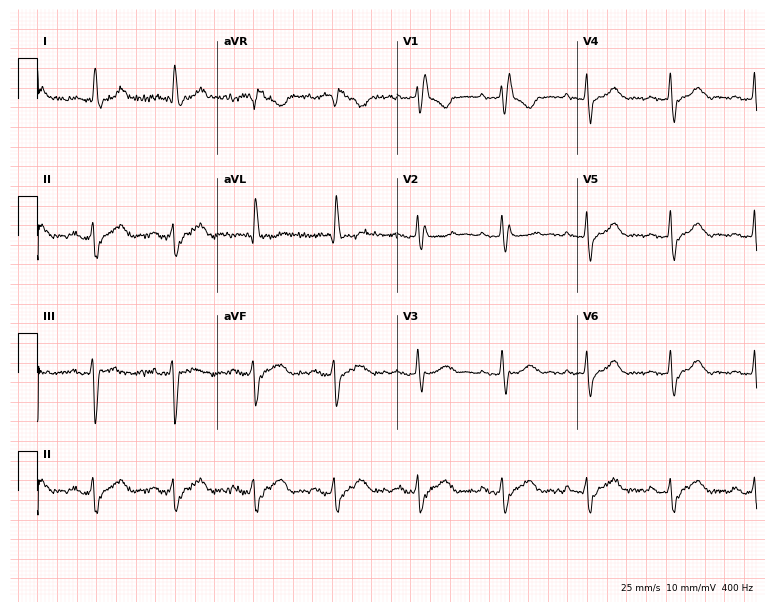
ECG — a female patient, 74 years old. Findings include right bundle branch block.